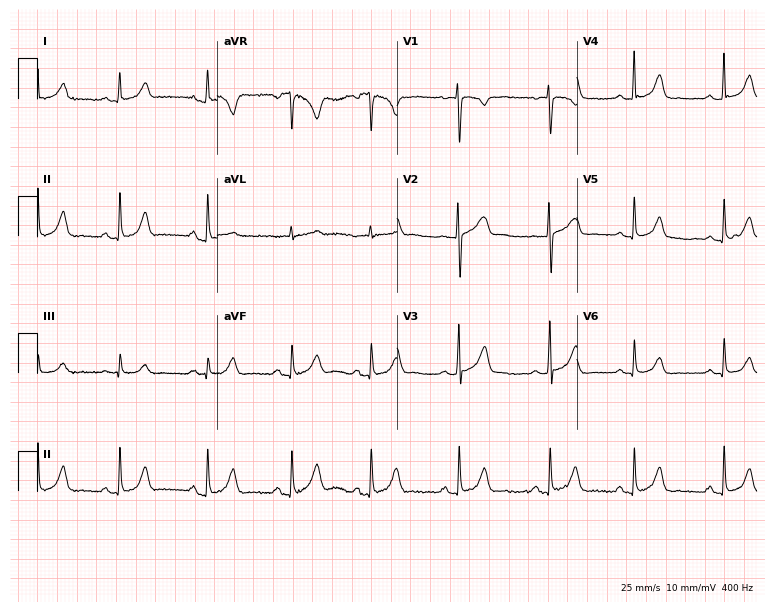
12-lead ECG from a 20-year-old woman. Labelled as a normal ECG.